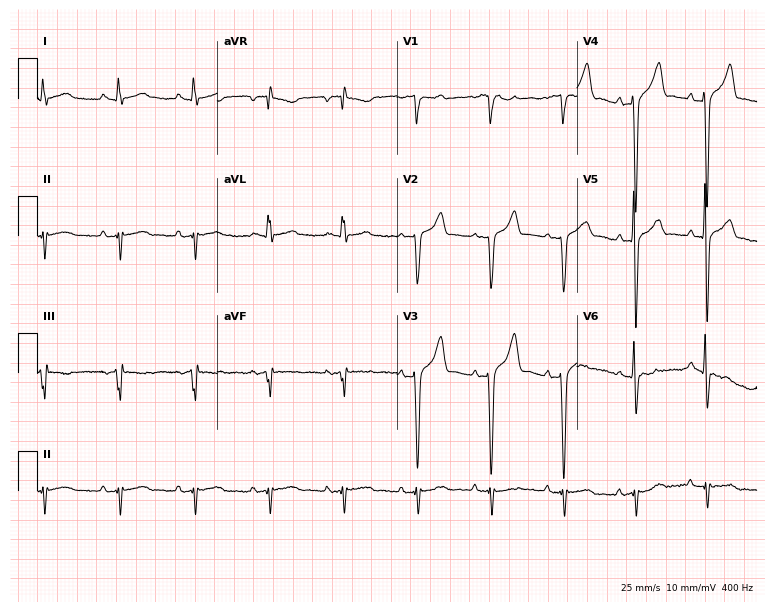
ECG — a man, 44 years old. Screened for six findings — first-degree AV block, right bundle branch block (RBBB), left bundle branch block (LBBB), sinus bradycardia, atrial fibrillation (AF), sinus tachycardia — none is recorded.